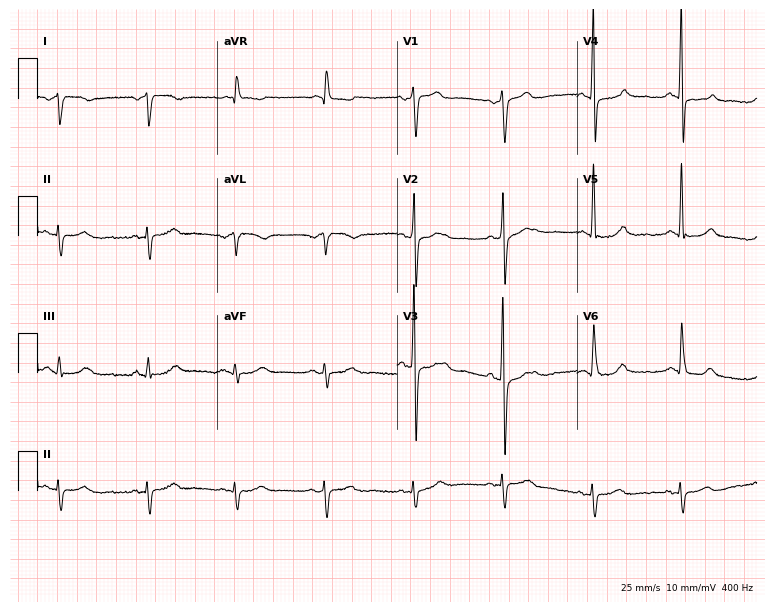
Resting 12-lead electrocardiogram (7.3-second recording at 400 Hz). Patient: an 84-year-old man. None of these six findings is recorded: first-degree AV block, right bundle branch block (RBBB), left bundle branch block (LBBB), sinus bradycardia, atrial fibrillation (AF), sinus tachycardia.